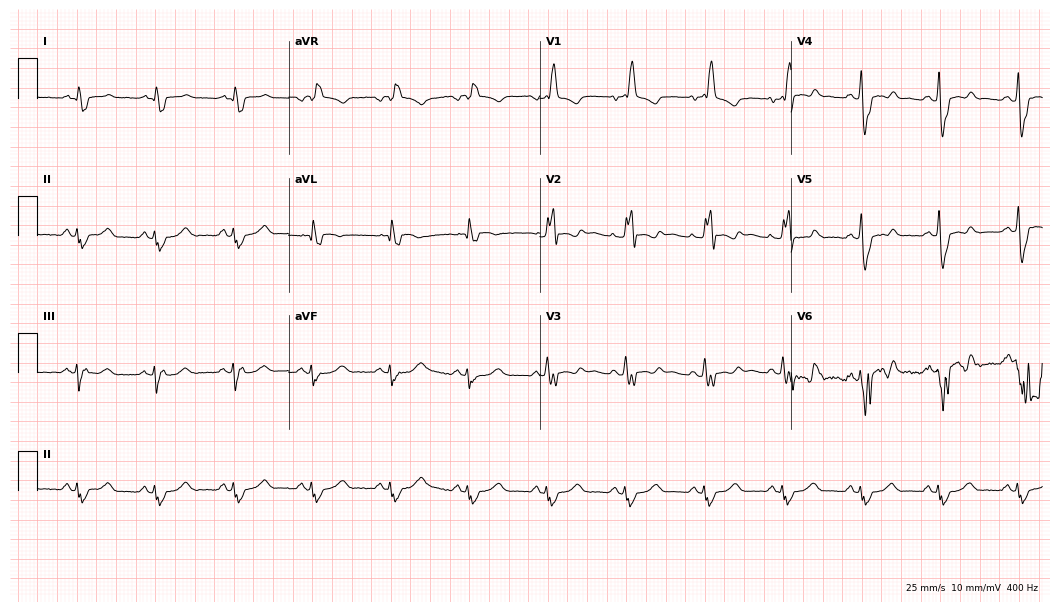
Electrocardiogram, a female, 60 years old. Interpretation includes right bundle branch block.